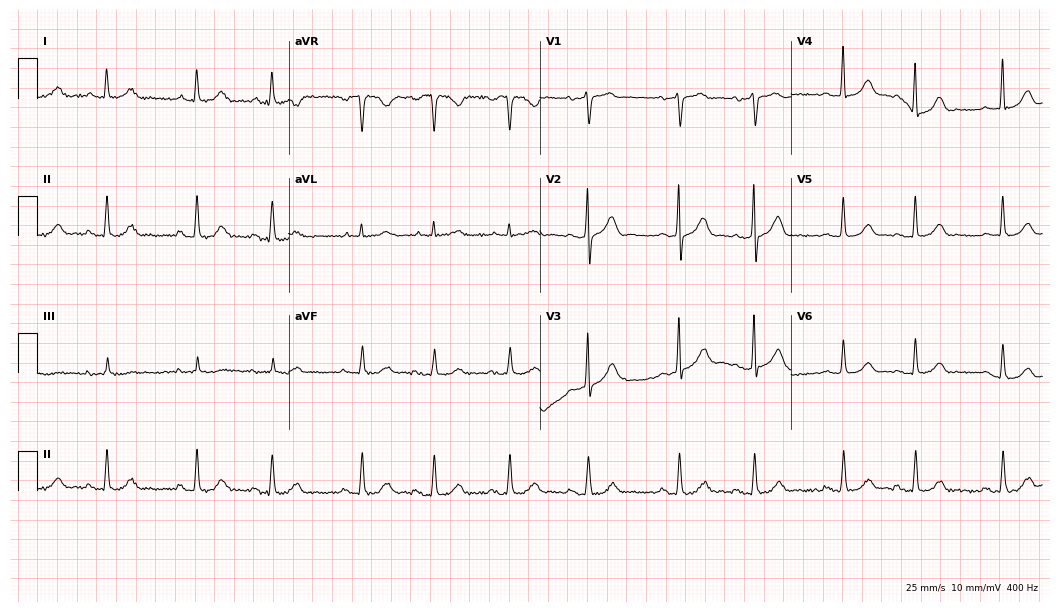
ECG (10.2-second recording at 400 Hz) — a 71-year-old male patient. Labelled as a normal ECG.